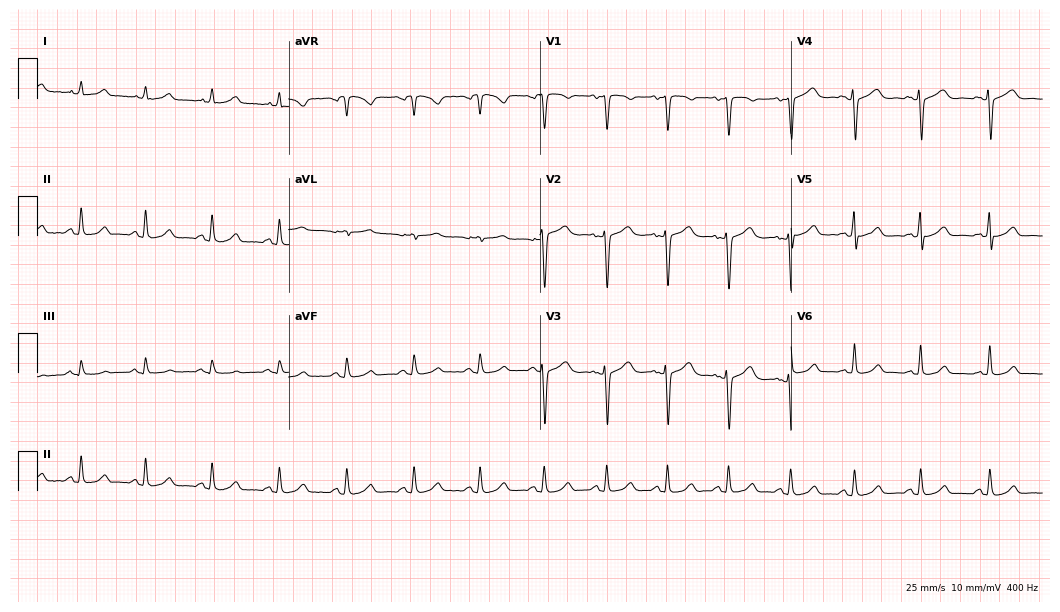
Resting 12-lead electrocardiogram (10.2-second recording at 400 Hz). Patient: a 49-year-old female. Read as a normal ECG.